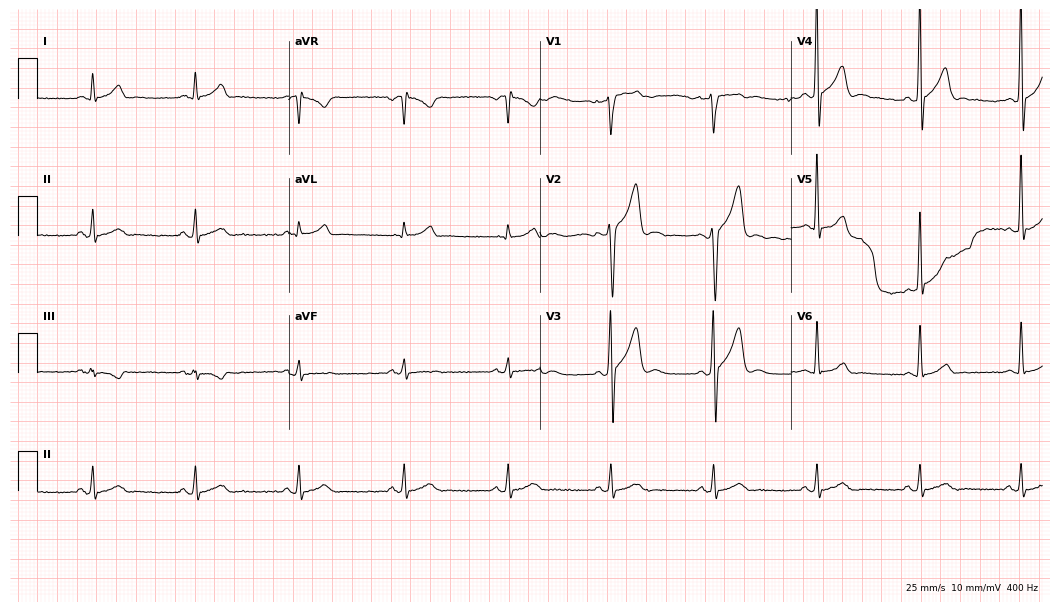
12-lead ECG from a 49-year-old male (10.2-second recording at 400 Hz). Recorded interpretation: within normal limits.